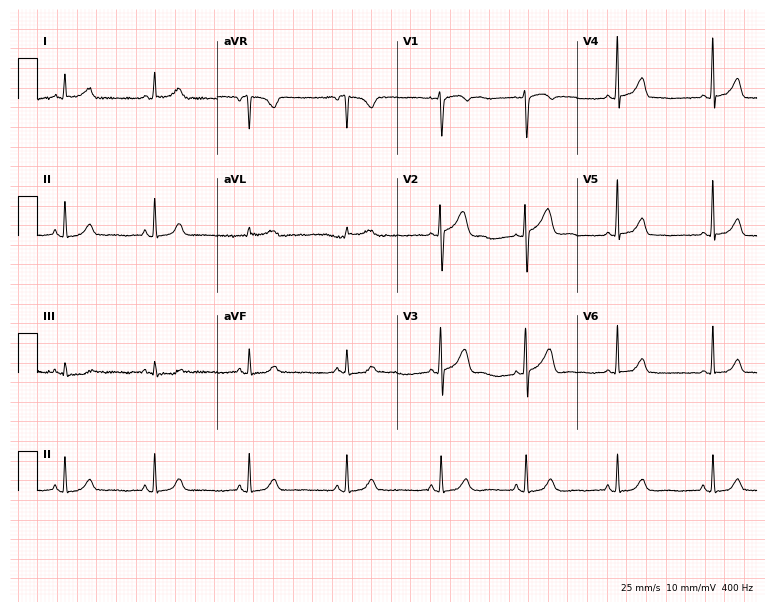
12-lead ECG from a 45-year-old woman. No first-degree AV block, right bundle branch block, left bundle branch block, sinus bradycardia, atrial fibrillation or sinus tachycardia recorded for this tracing. Findings outside these six are not listed.